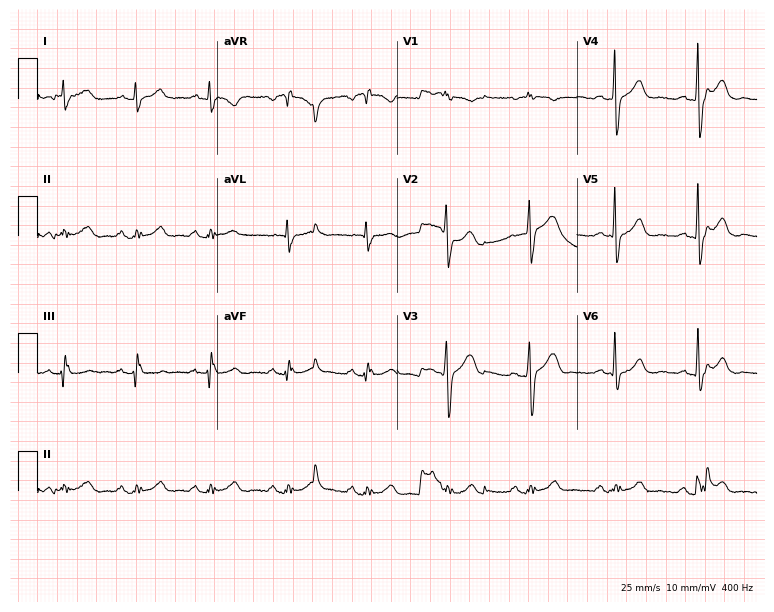
Electrocardiogram (7.3-second recording at 400 Hz), a 40-year-old man. Overall reading on record: normal ECG.